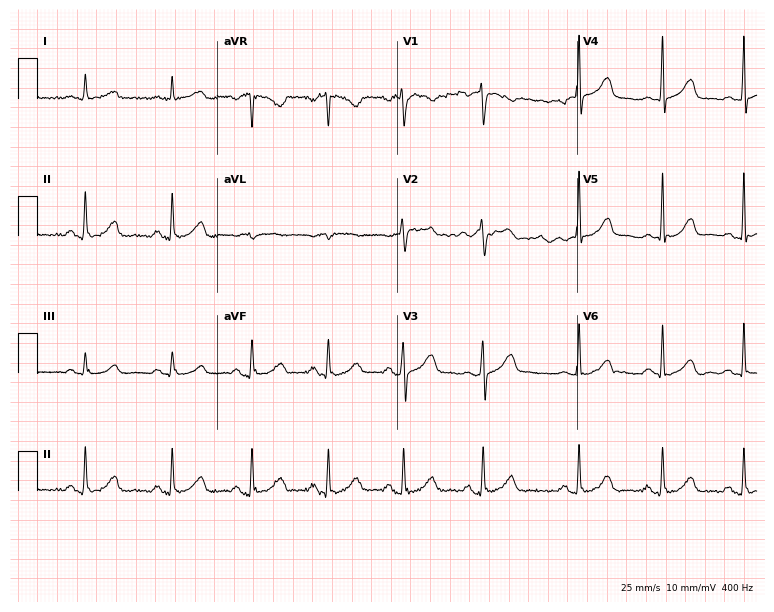
ECG — a 46-year-old female. Labelled as a normal ECG.